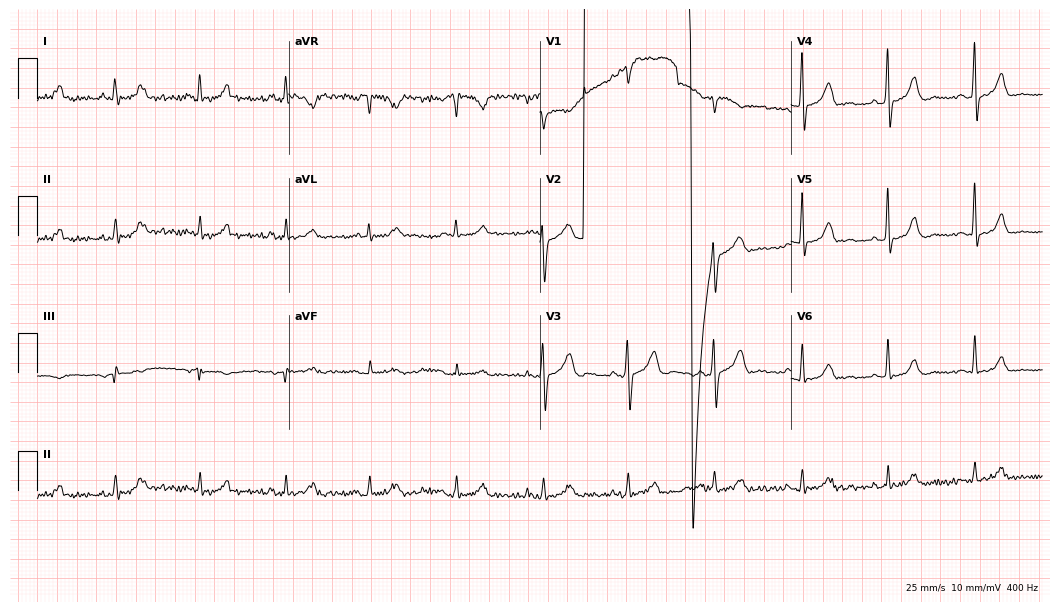
Resting 12-lead electrocardiogram (10.2-second recording at 400 Hz). Patient: a 56-year-old male. None of these six findings is recorded: first-degree AV block, right bundle branch block, left bundle branch block, sinus bradycardia, atrial fibrillation, sinus tachycardia.